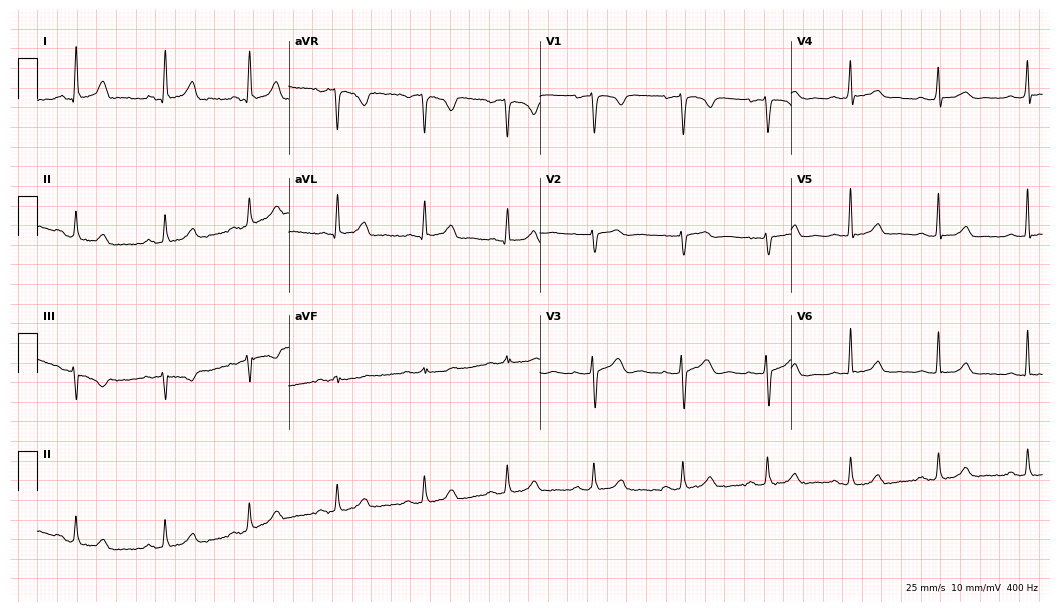
Resting 12-lead electrocardiogram. Patient: a woman, 42 years old. Read as a normal ECG.